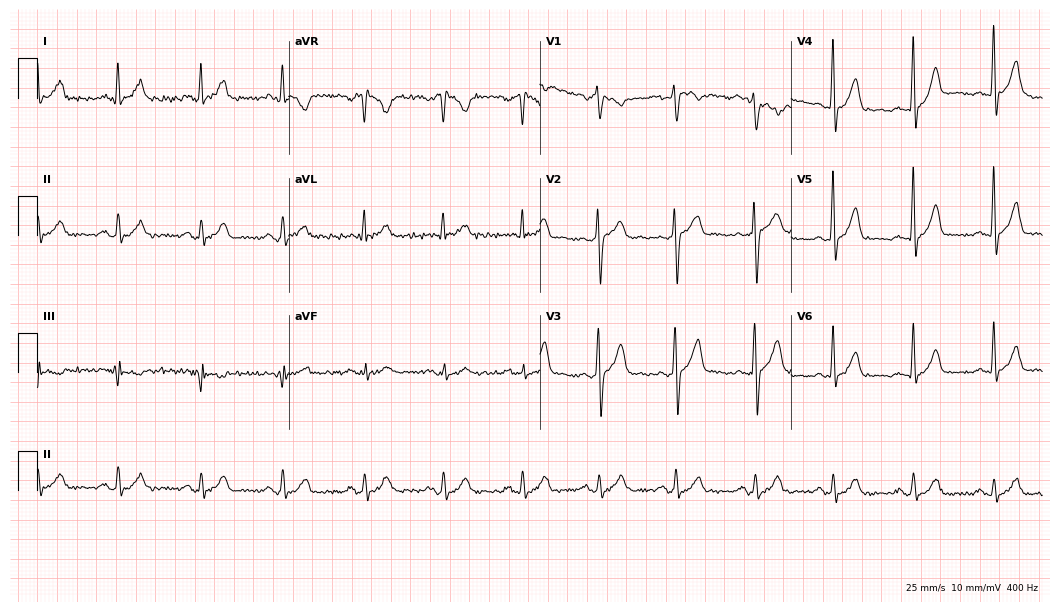
Standard 12-lead ECG recorded from a 41-year-old man (10.2-second recording at 400 Hz). None of these six findings is recorded: first-degree AV block, right bundle branch block, left bundle branch block, sinus bradycardia, atrial fibrillation, sinus tachycardia. Findings outside these six are not listed.